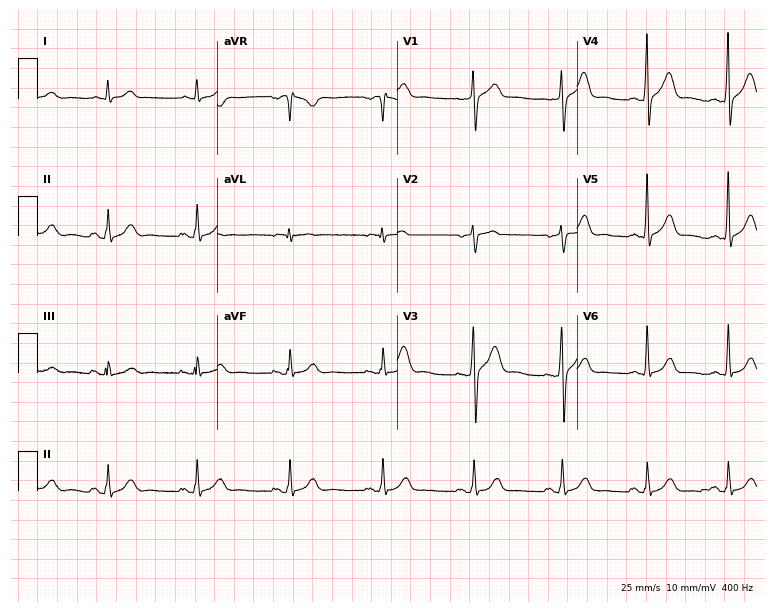
Resting 12-lead electrocardiogram (7.3-second recording at 400 Hz). Patient: a 38-year-old man. Read as a normal ECG.